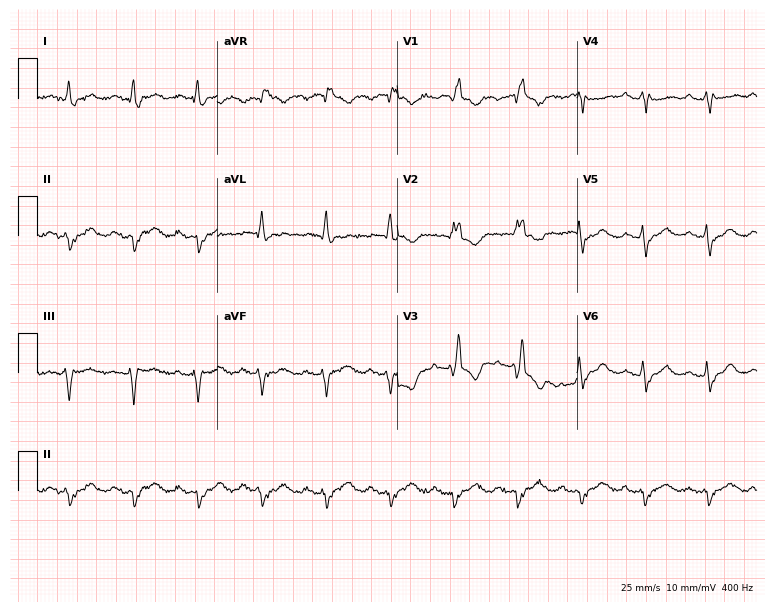
ECG (7.3-second recording at 400 Hz) — an 80-year-old female patient. Findings include right bundle branch block (RBBB).